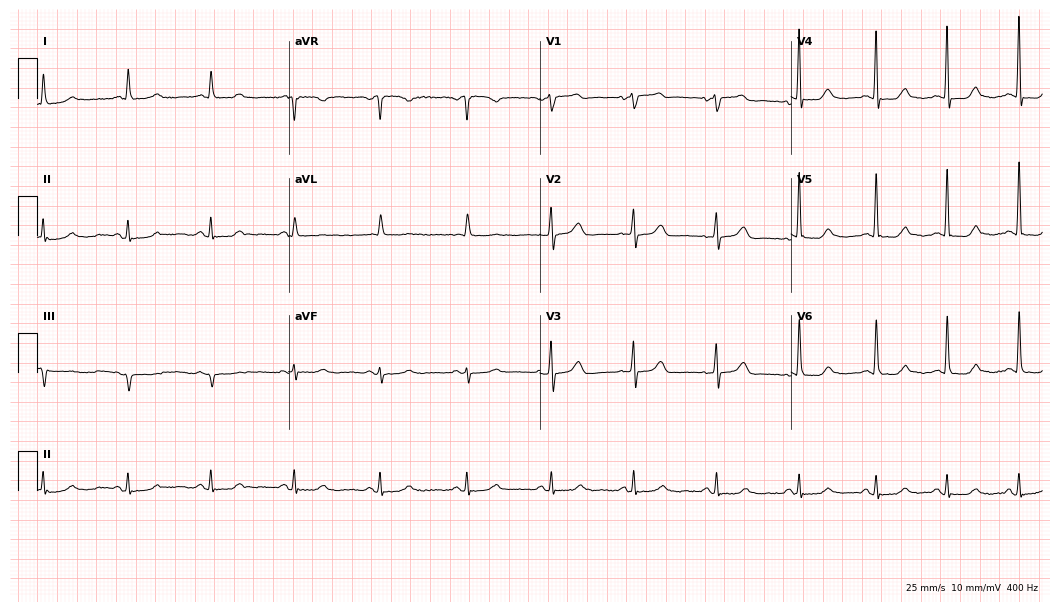
ECG (10.2-second recording at 400 Hz) — a woman, 72 years old. Screened for six findings — first-degree AV block, right bundle branch block, left bundle branch block, sinus bradycardia, atrial fibrillation, sinus tachycardia — none is recorded. Other findings, if any, are not listed.